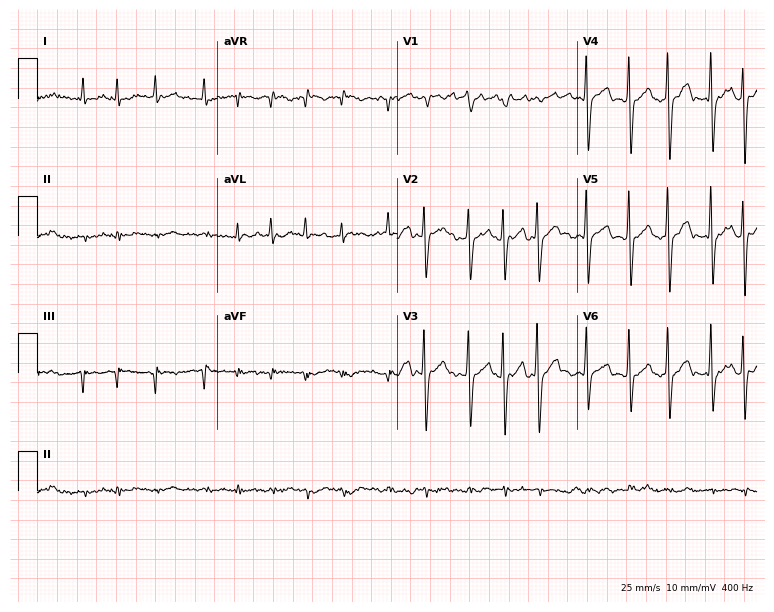
12-lead ECG from a male patient, 57 years old. No first-degree AV block, right bundle branch block (RBBB), left bundle branch block (LBBB), sinus bradycardia, atrial fibrillation (AF) or sinus tachycardia recorded for this tracing.